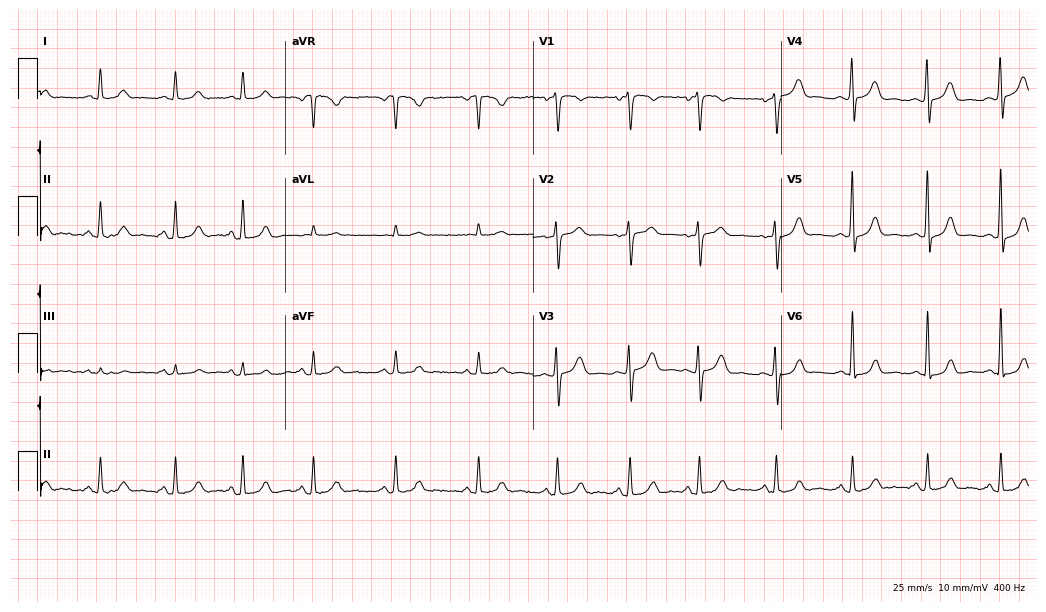
12-lead ECG from a 44-year-old female patient (10.1-second recording at 400 Hz). Recorded interpretation: within normal limits.